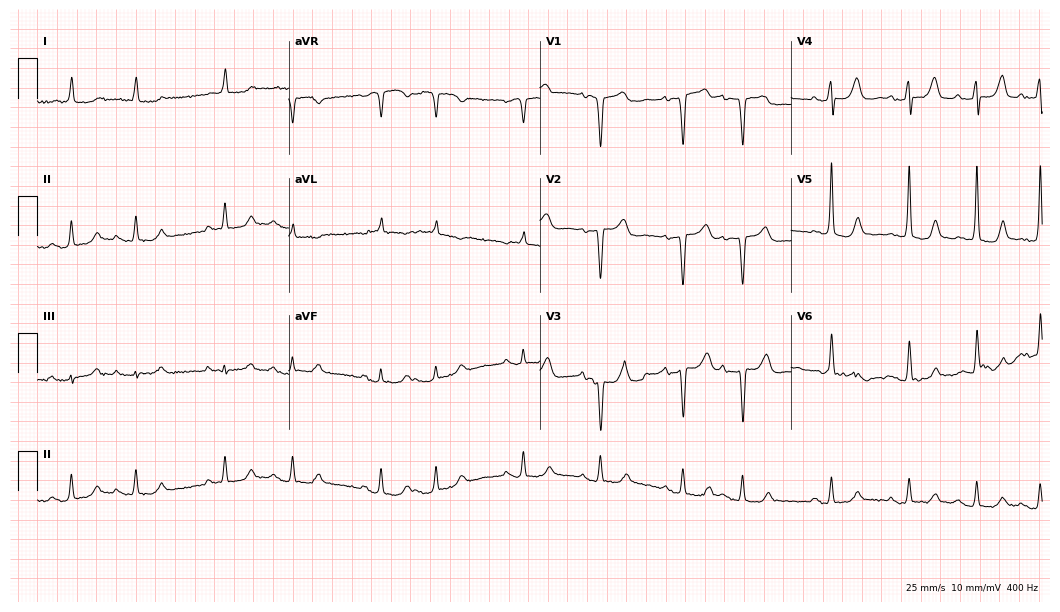
Standard 12-lead ECG recorded from a female patient, 83 years old (10.2-second recording at 400 Hz). Read as a normal ECG.